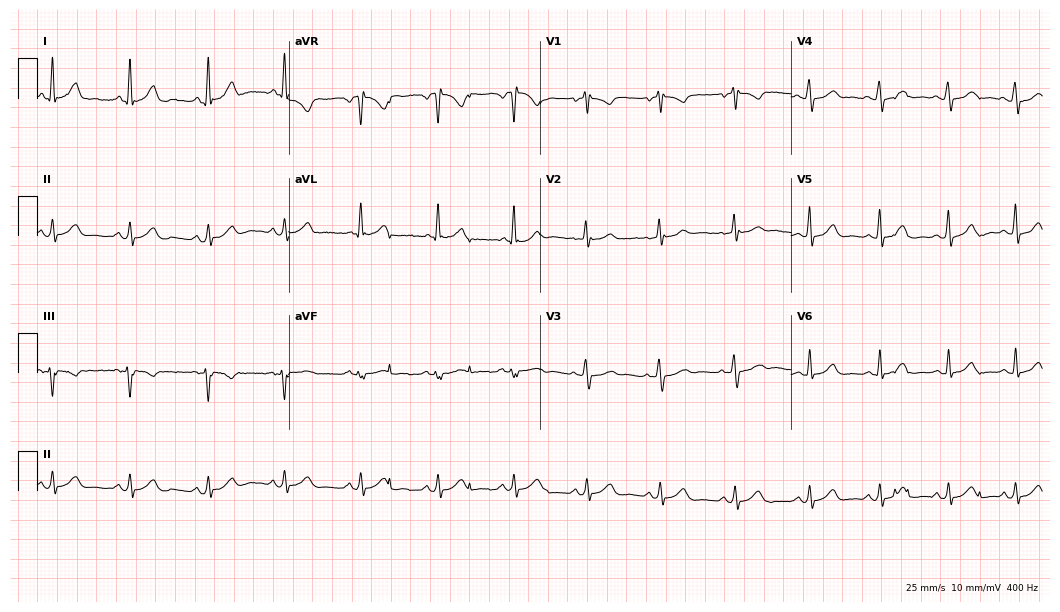
ECG — a woman, 42 years old. Labelled as a normal ECG.